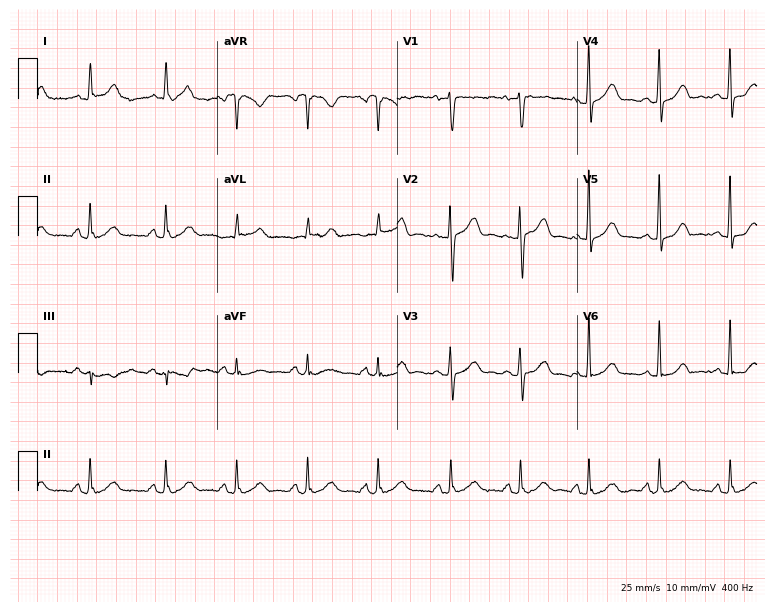
Electrocardiogram (7.3-second recording at 400 Hz), a female, 27 years old. Overall reading on record: normal ECG.